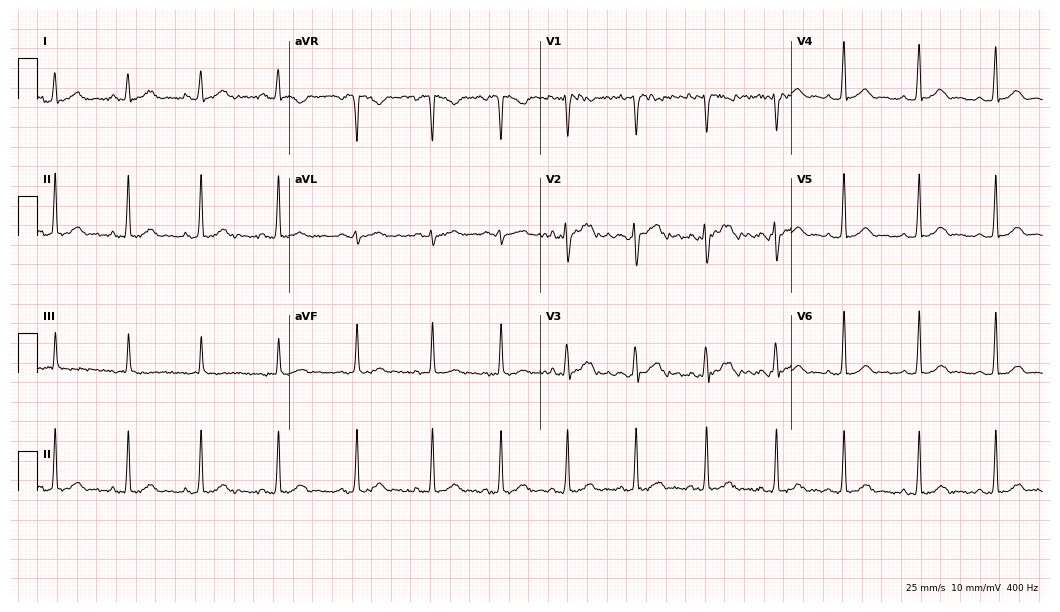
Standard 12-lead ECG recorded from a woman, 17 years old (10.2-second recording at 400 Hz). Read as a normal ECG.